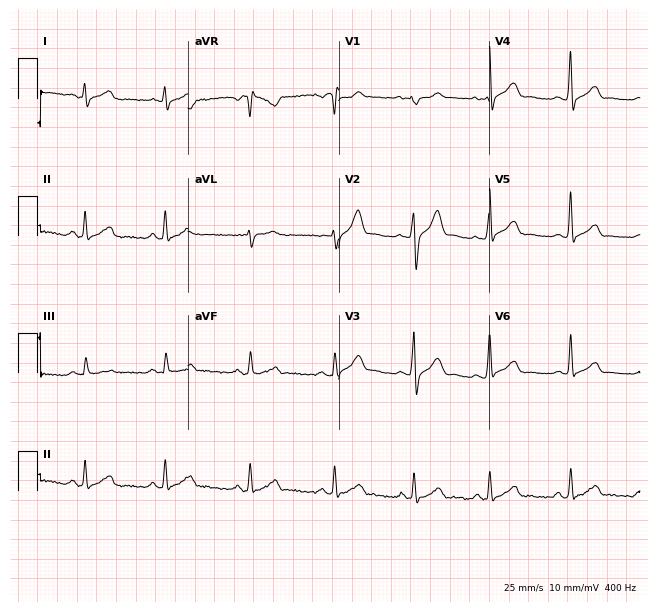
12-lead ECG (6.1-second recording at 400 Hz) from a male, 36 years old. Screened for six findings — first-degree AV block, right bundle branch block (RBBB), left bundle branch block (LBBB), sinus bradycardia, atrial fibrillation (AF), sinus tachycardia — none is recorded. Other findings, if any, are not listed.